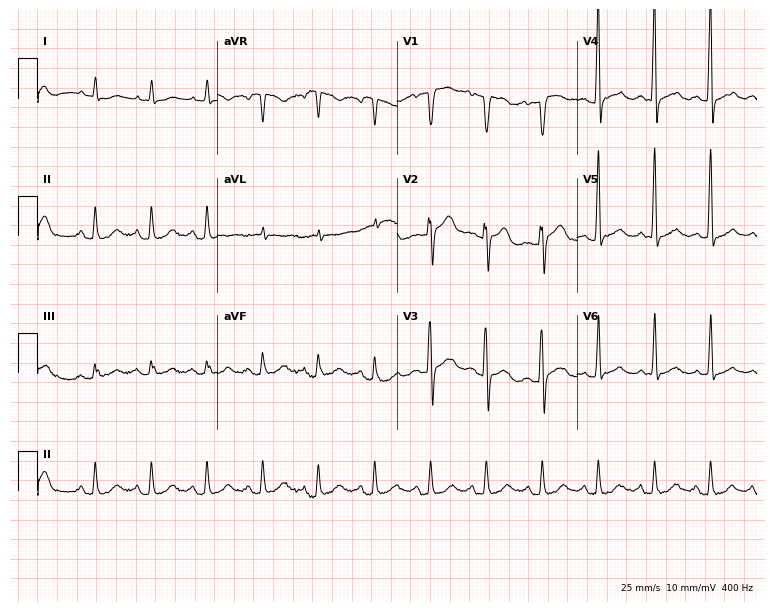
Resting 12-lead electrocardiogram. Patient: an 84-year-old female. Read as a normal ECG.